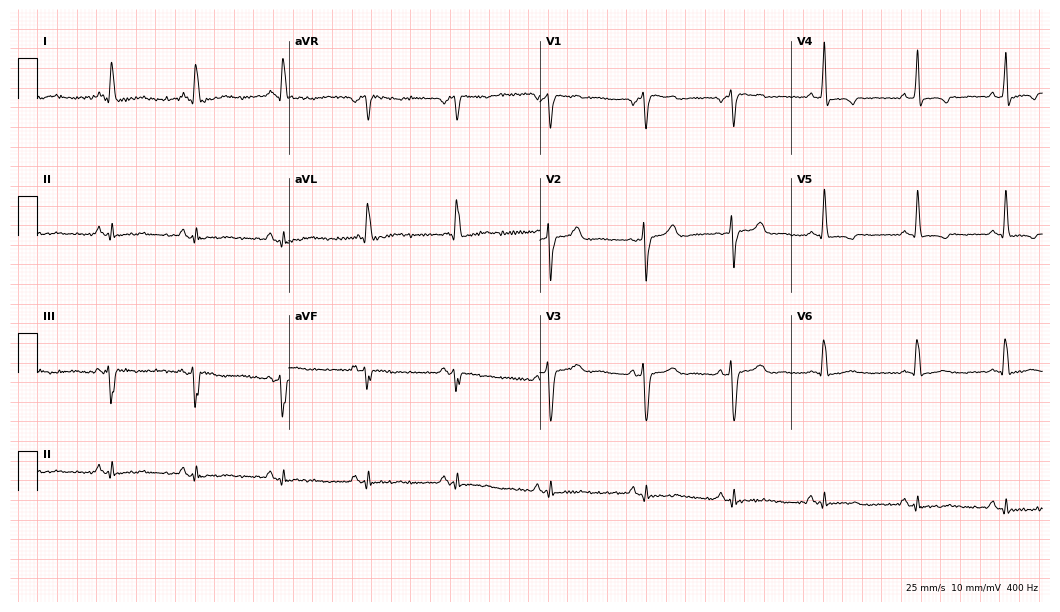
12-lead ECG from a female patient, 47 years old. Screened for six findings — first-degree AV block, right bundle branch block, left bundle branch block, sinus bradycardia, atrial fibrillation, sinus tachycardia — none is recorded.